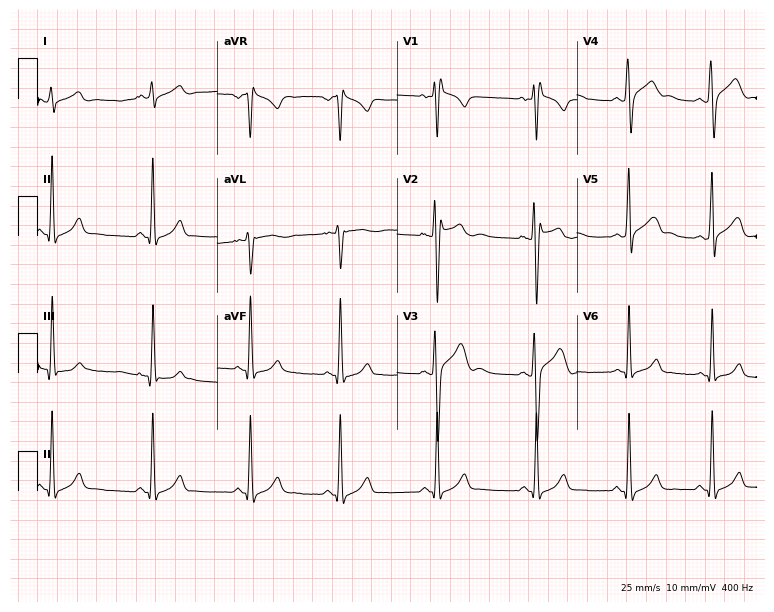
12-lead ECG from a male patient, 19 years old. No first-degree AV block, right bundle branch block, left bundle branch block, sinus bradycardia, atrial fibrillation or sinus tachycardia recorded for this tracing. Other findings, if any, are not listed.